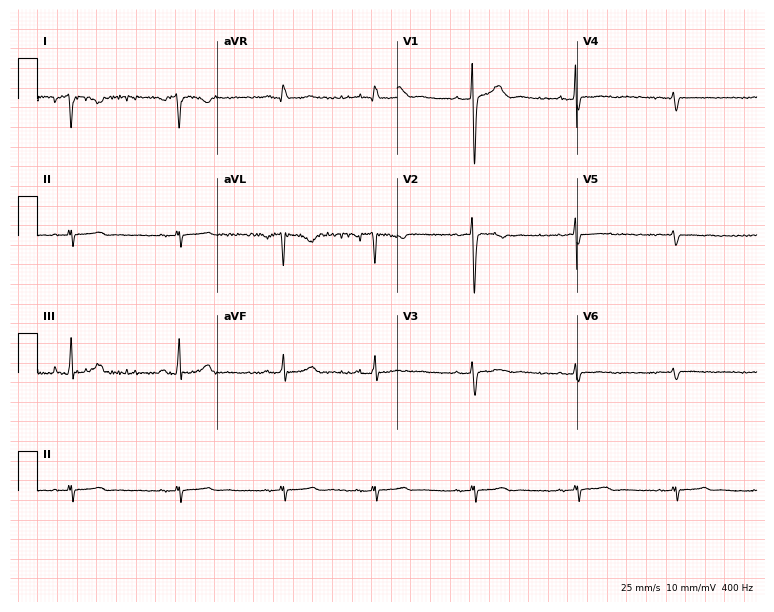
12-lead ECG from a woman, 23 years old. Screened for six findings — first-degree AV block, right bundle branch block, left bundle branch block, sinus bradycardia, atrial fibrillation, sinus tachycardia — none is recorded.